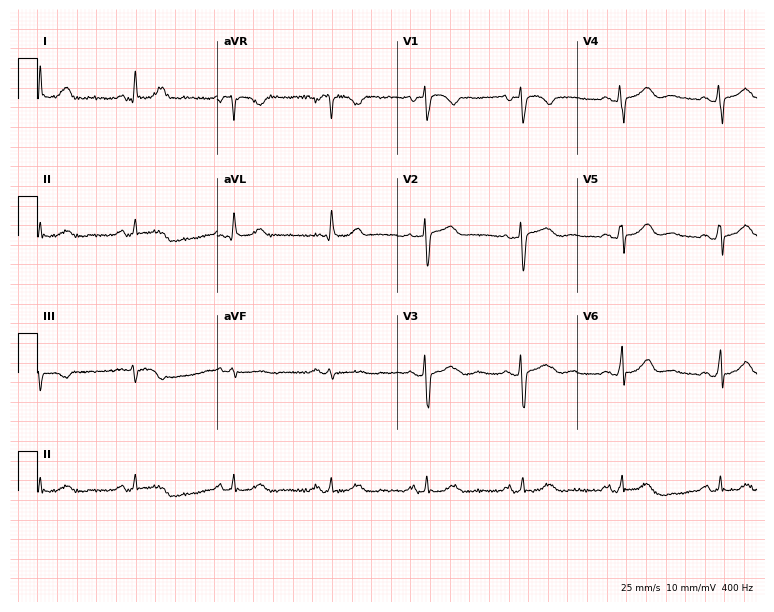
Resting 12-lead electrocardiogram. Patient: a female, 69 years old. None of these six findings is recorded: first-degree AV block, right bundle branch block, left bundle branch block, sinus bradycardia, atrial fibrillation, sinus tachycardia. Findings outside these six are not listed.